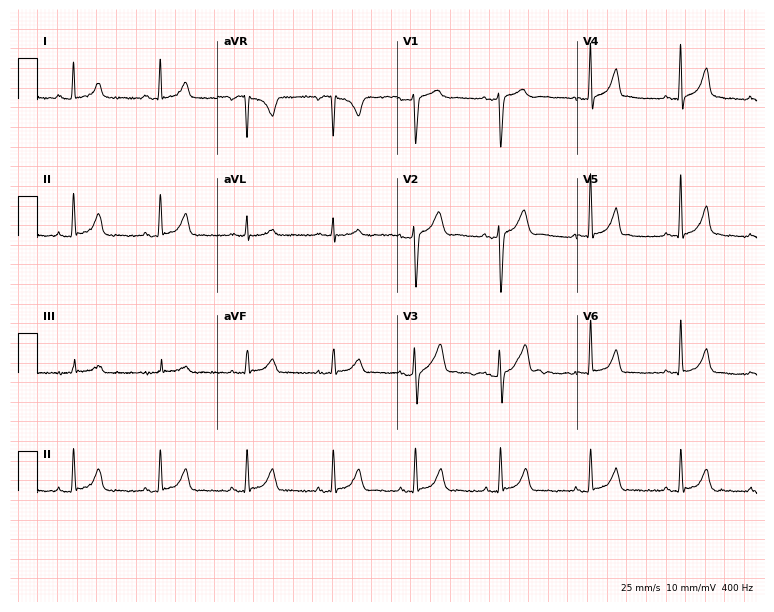
Electrocardiogram, a 27-year-old woman. Overall reading on record: normal ECG.